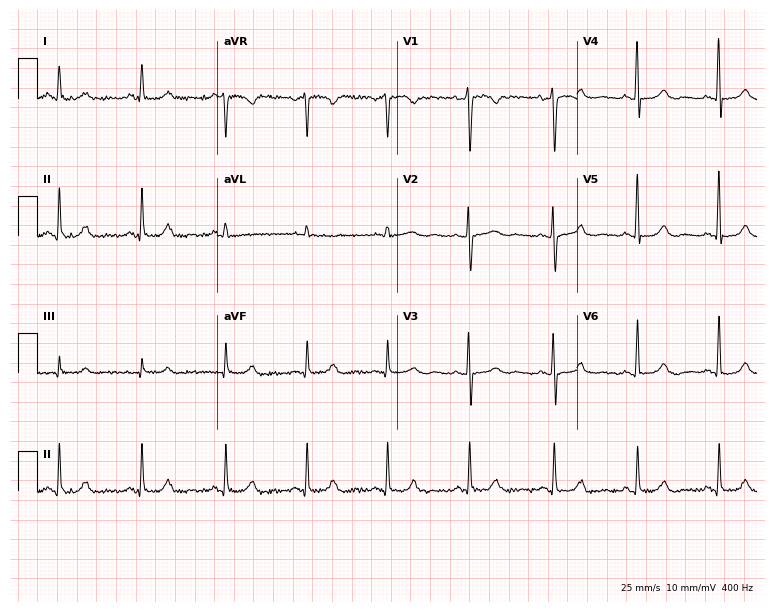
Standard 12-lead ECG recorded from a 47-year-old female patient (7.3-second recording at 400 Hz). Read as a normal ECG.